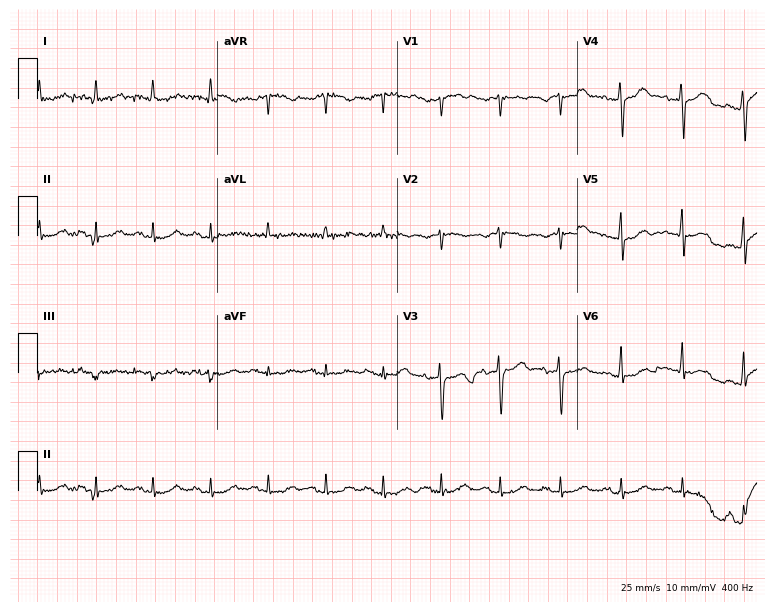
Resting 12-lead electrocardiogram. Patient: a 68-year-old male. None of these six findings is recorded: first-degree AV block, right bundle branch block (RBBB), left bundle branch block (LBBB), sinus bradycardia, atrial fibrillation (AF), sinus tachycardia. Other findings, if any, are not listed.